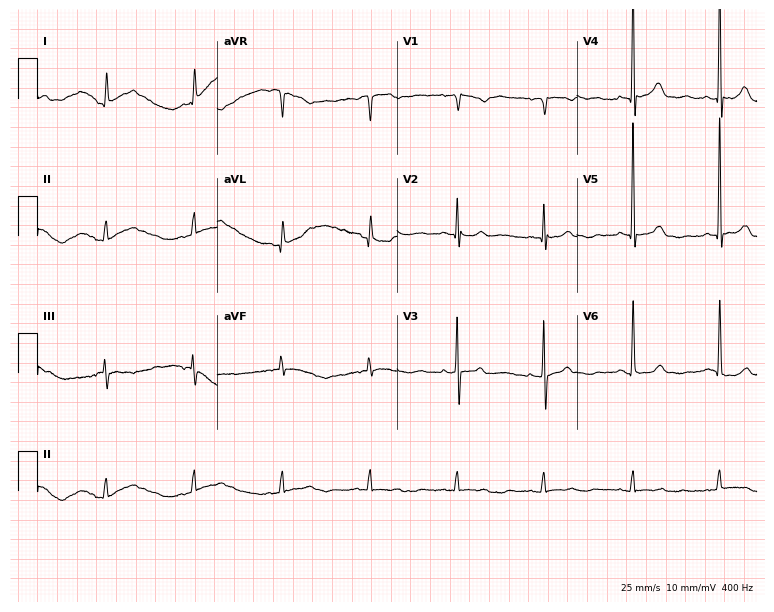
12-lead ECG from a female patient, 77 years old. Screened for six findings — first-degree AV block, right bundle branch block, left bundle branch block, sinus bradycardia, atrial fibrillation, sinus tachycardia — none is recorded. Other findings, if any, are not listed.